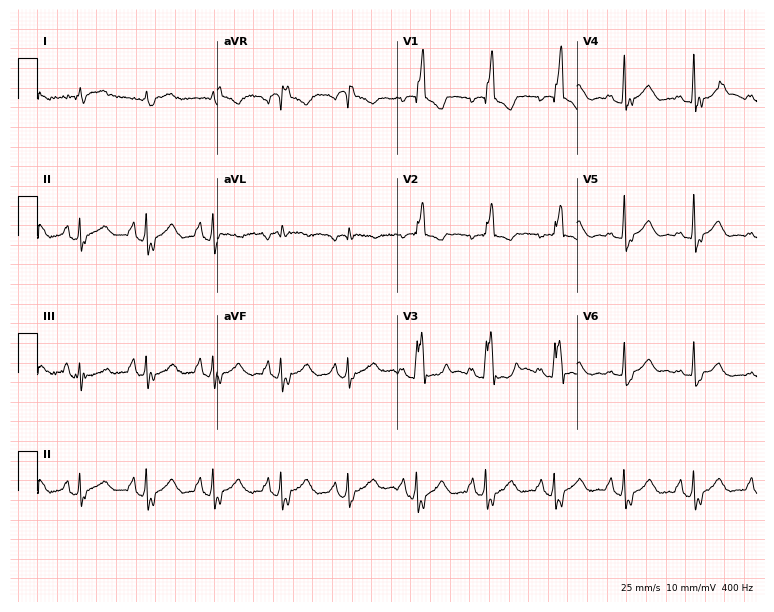
Resting 12-lead electrocardiogram. Patient: a man, 67 years old. The tracing shows right bundle branch block.